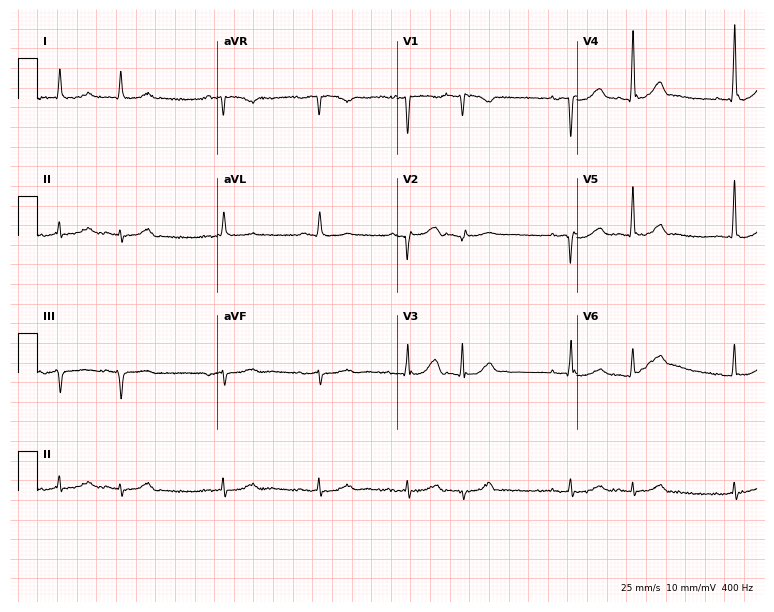
Resting 12-lead electrocardiogram (7.3-second recording at 400 Hz). Patient: a man, 67 years old. None of these six findings is recorded: first-degree AV block, right bundle branch block, left bundle branch block, sinus bradycardia, atrial fibrillation, sinus tachycardia. Findings outside these six are not listed.